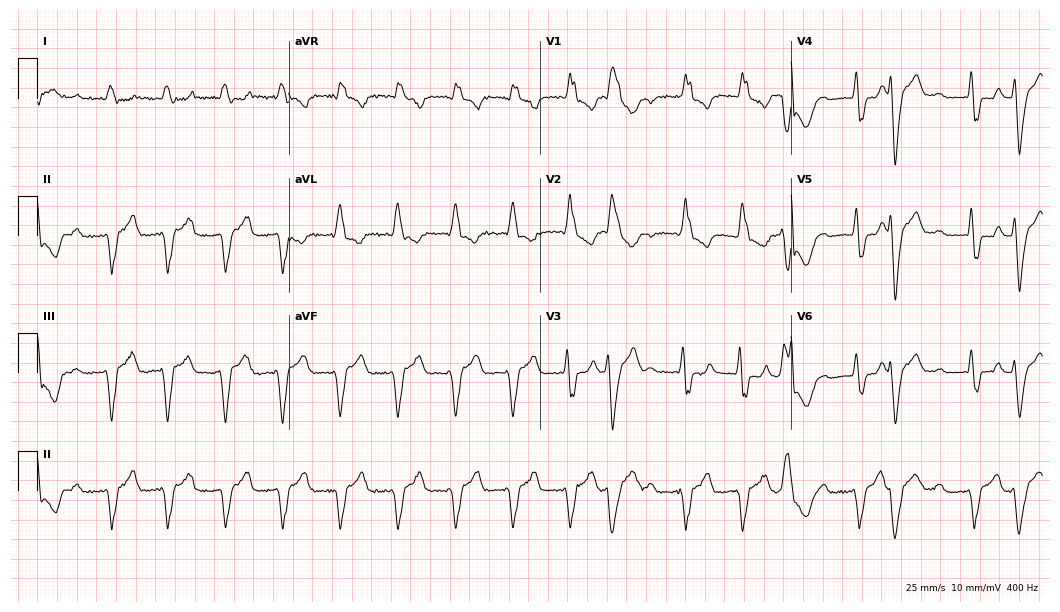
12-lead ECG from a man, 73 years old. Shows right bundle branch block (RBBB), atrial fibrillation (AF), sinus tachycardia (a sinus rate of 100 beats per minute or more).